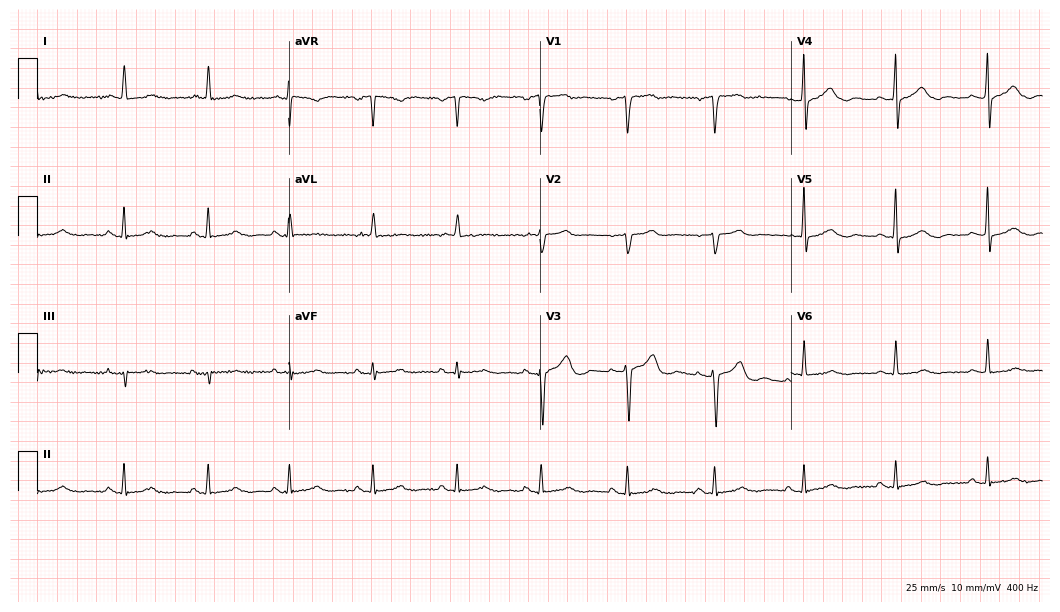
Standard 12-lead ECG recorded from a female, 76 years old (10.2-second recording at 400 Hz). None of these six findings is recorded: first-degree AV block, right bundle branch block (RBBB), left bundle branch block (LBBB), sinus bradycardia, atrial fibrillation (AF), sinus tachycardia. Only these six findings were labelled.